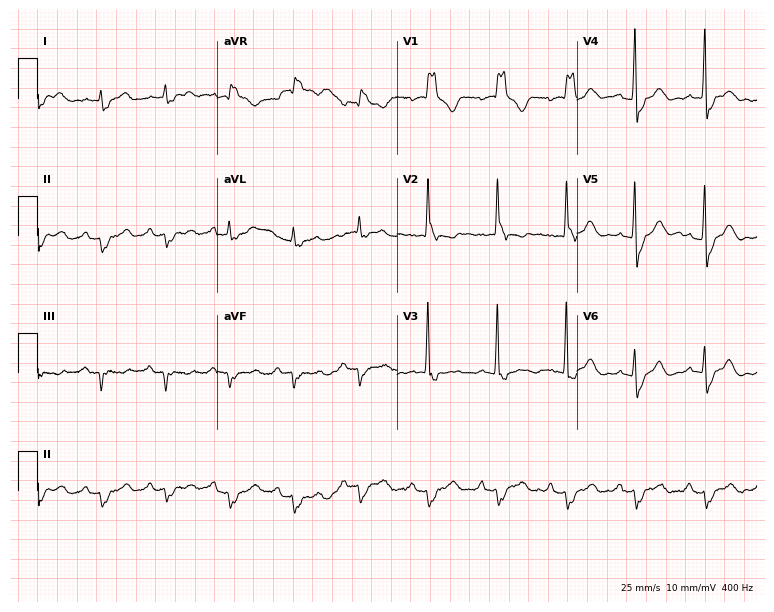
Resting 12-lead electrocardiogram (7.3-second recording at 400 Hz). Patient: a 73-year-old male. The tracing shows right bundle branch block.